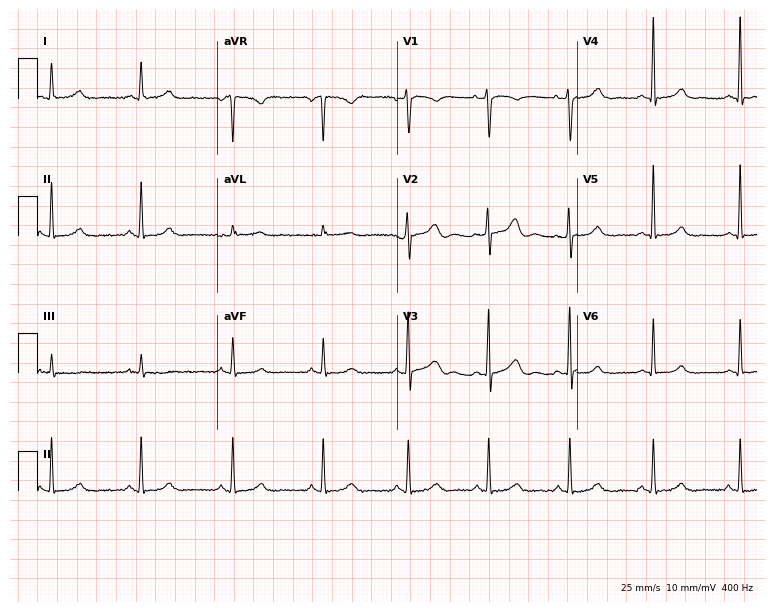
ECG (7.3-second recording at 400 Hz) — a woman, 41 years old. Screened for six findings — first-degree AV block, right bundle branch block, left bundle branch block, sinus bradycardia, atrial fibrillation, sinus tachycardia — none is recorded. Only these six findings were labelled.